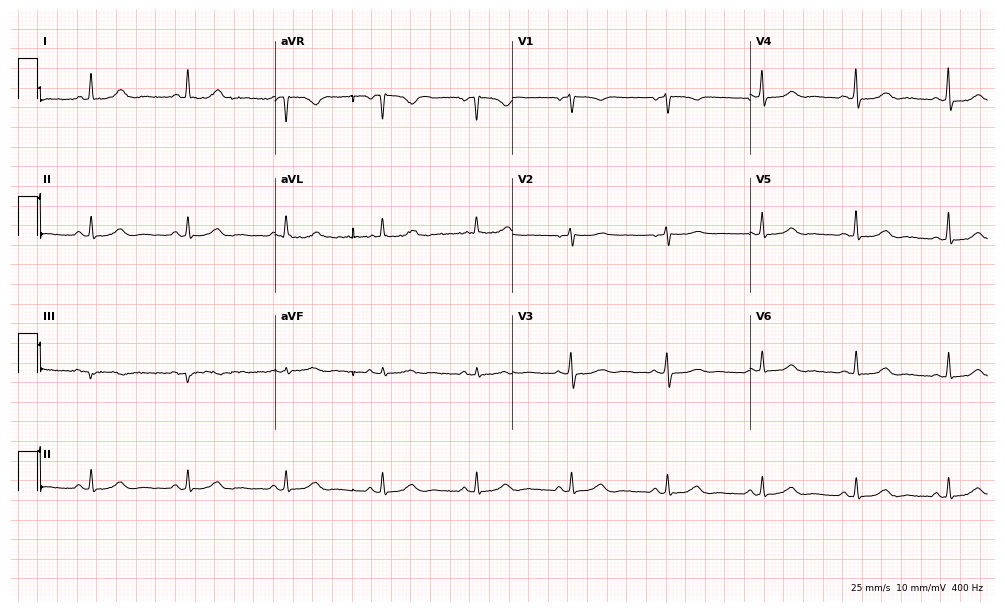
Resting 12-lead electrocardiogram. Patient: a female, 61 years old. Read as a normal ECG.